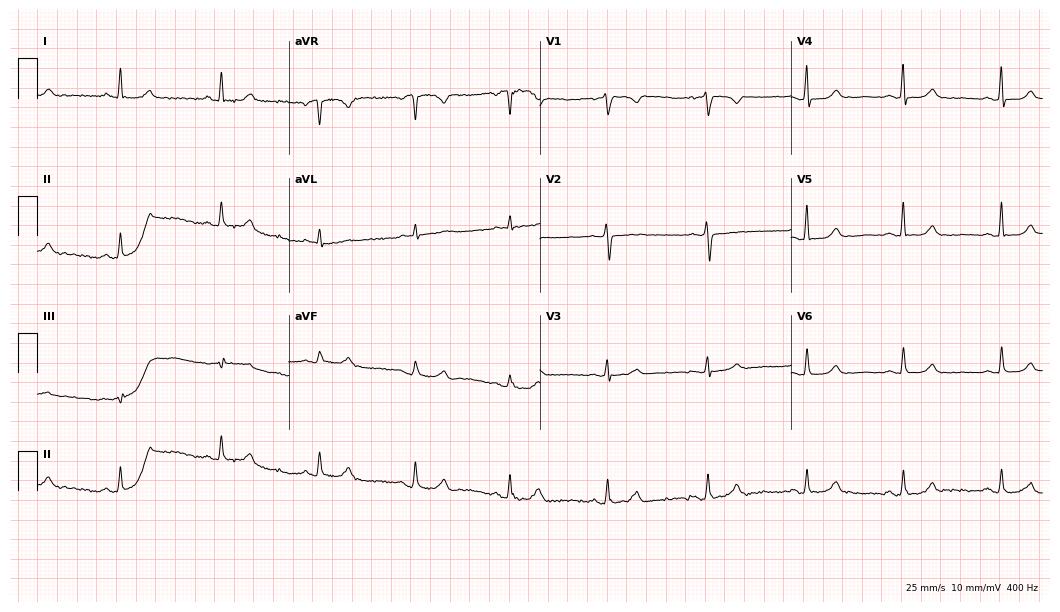
Standard 12-lead ECG recorded from a 56-year-old woman (10.2-second recording at 400 Hz). Read as a normal ECG.